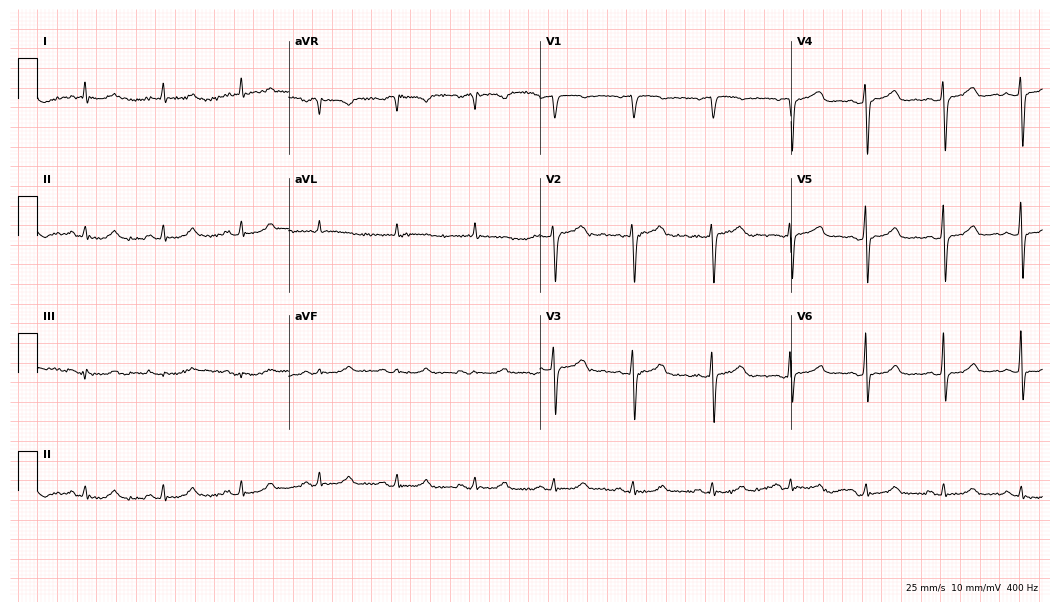
12-lead ECG from a 74-year-old woman. Labelled as a normal ECG.